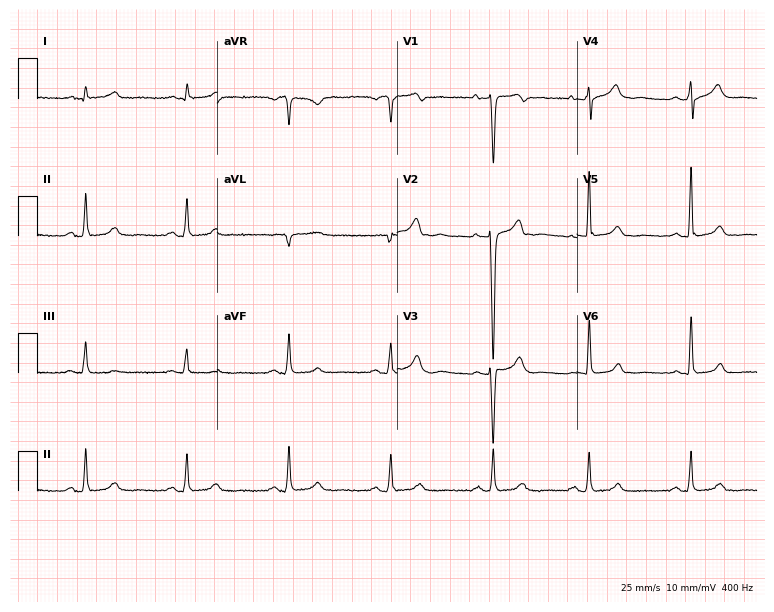
Electrocardiogram, a female, 41 years old. Overall reading on record: normal ECG.